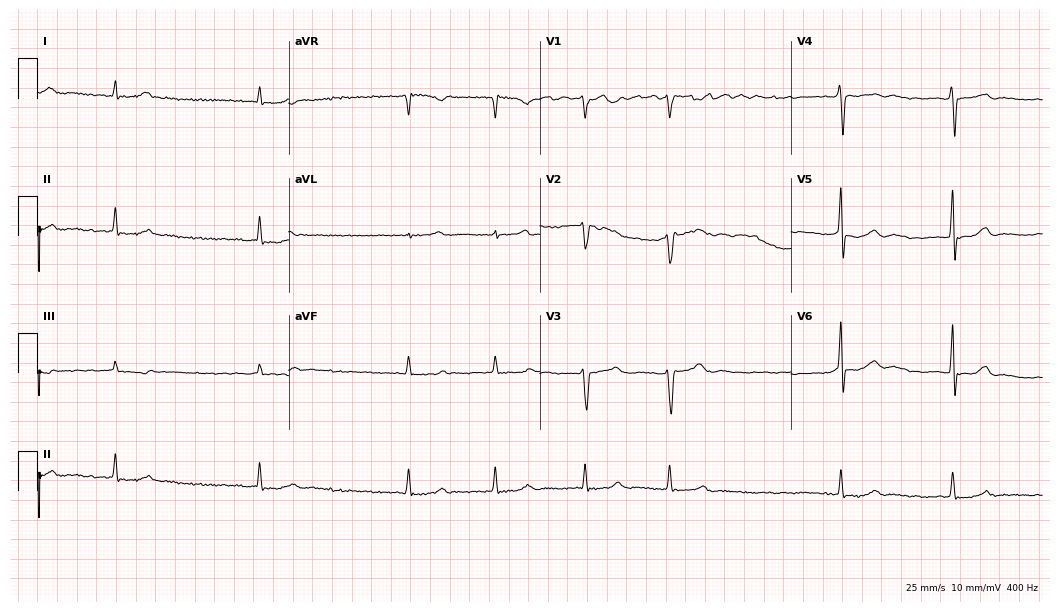
Resting 12-lead electrocardiogram. Patient: a male, 79 years old. The tracing shows atrial fibrillation.